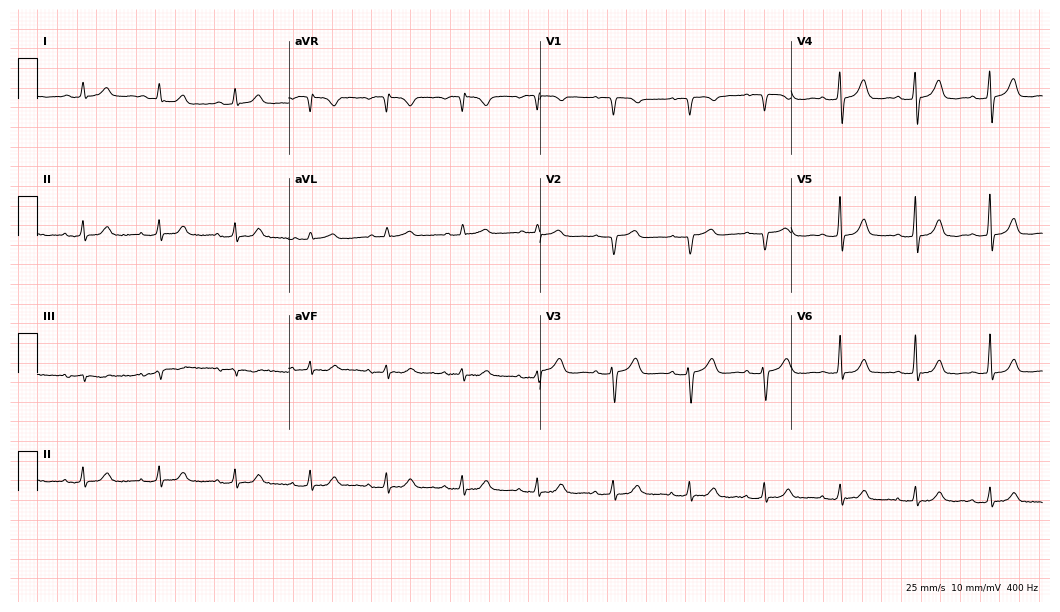
Resting 12-lead electrocardiogram (10.2-second recording at 400 Hz). Patient: a female, 72 years old. None of these six findings is recorded: first-degree AV block, right bundle branch block (RBBB), left bundle branch block (LBBB), sinus bradycardia, atrial fibrillation (AF), sinus tachycardia. Findings outside these six are not listed.